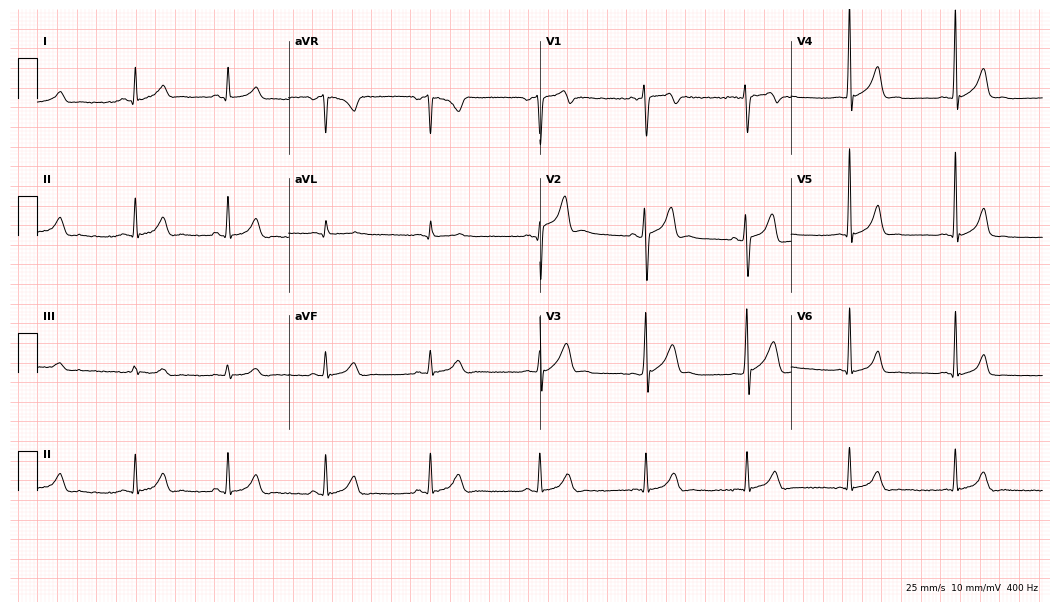
12-lead ECG from a male, 33 years old. Labelled as a normal ECG.